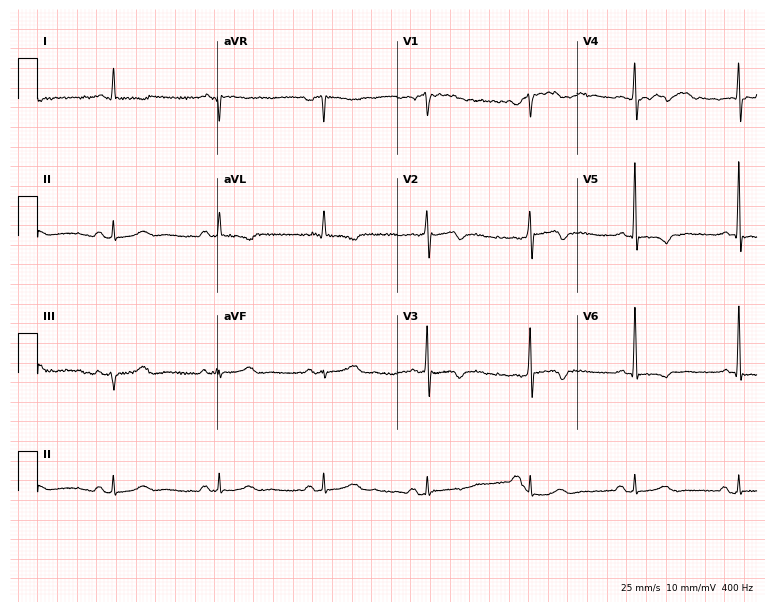
12-lead ECG from a 47-year-old man (7.3-second recording at 400 Hz). No first-degree AV block, right bundle branch block, left bundle branch block, sinus bradycardia, atrial fibrillation or sinus tachycardia recorded for this tracing.